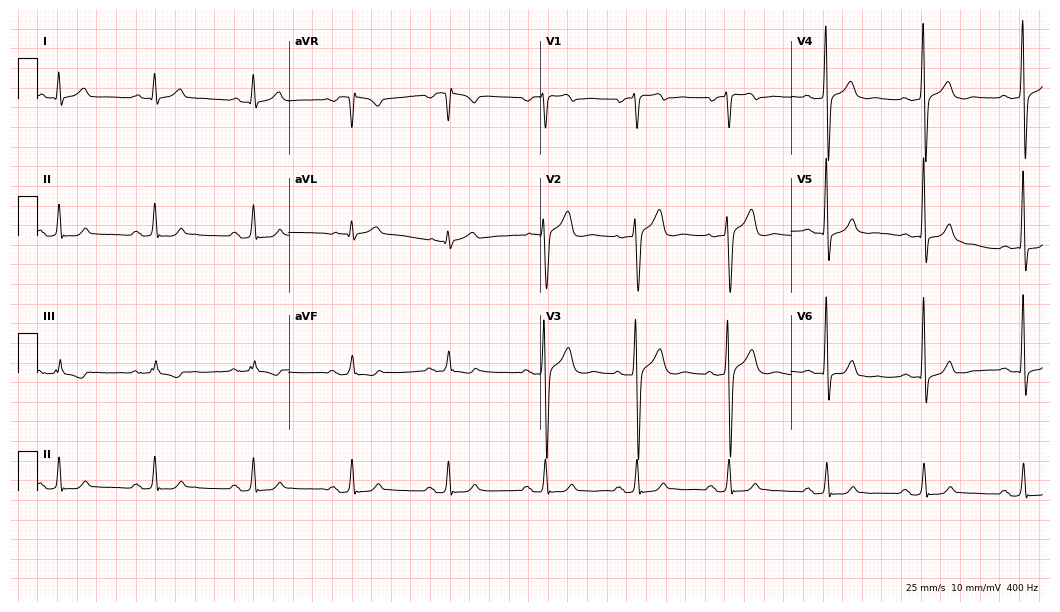
12-lead ECG from a 52-year-old male (10.2-second recording at 400 Hz). No first-degree AV block, right bundle branch block (RBBB), left bundle branch block (LBBB), sinus bradycardia, atrial fibrillation (AF) or sinus tachycardia recorded for this tracing. Findings outside these six are not listed.